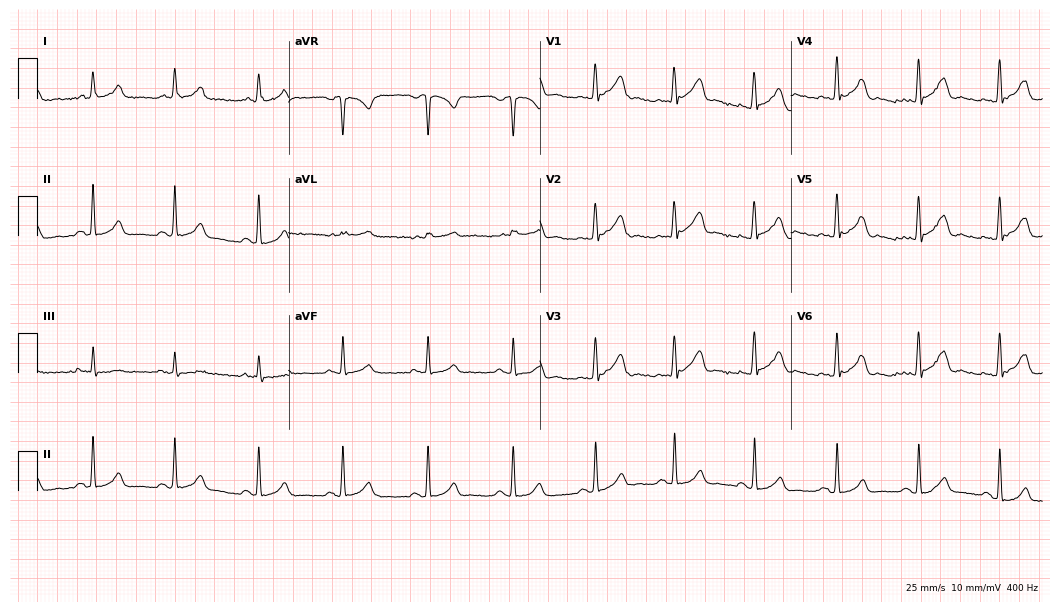
ECG — a 31-year-old male patient. Screened for six findings — first-degree AV block, right bundle branch block, left bundle branch block, sinus bradycardia, atrial fibrillation, sinus tachycardia — none is recorded.